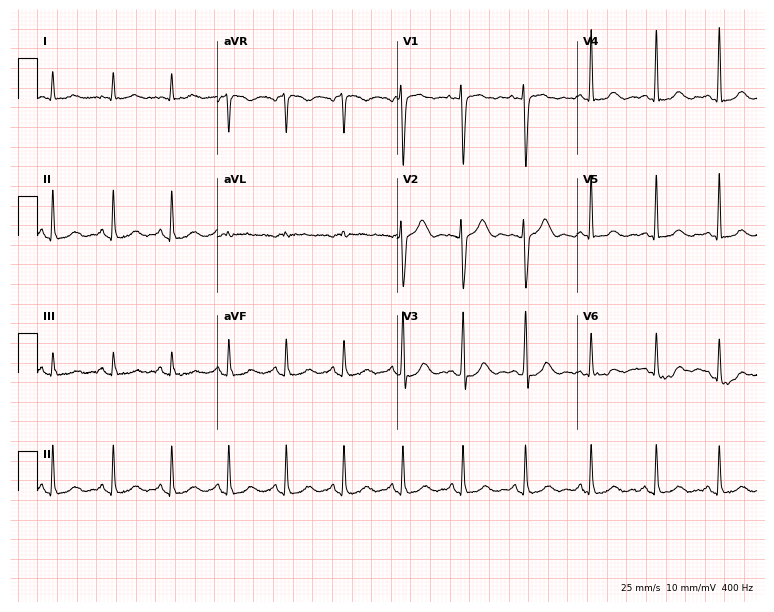
12-lead ECG (7.3-second recording at 400 Hz) from a 51-year-old woman. Screened for six findings — first-degree AV block, right bundle branch block, left bundle branch block, sinus bradycardia, atrial fibrillation, sinus tachycardia — none is recorded. Other findings, if any, are not listed.